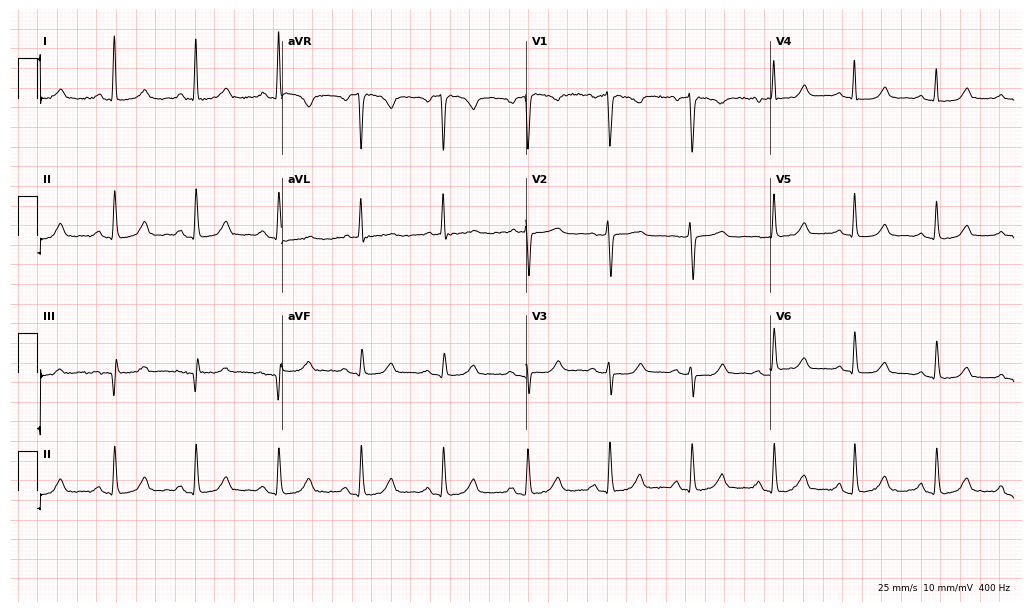
12-lead ECG from a 67-year-old female patient. Labelled as a normal ECG.